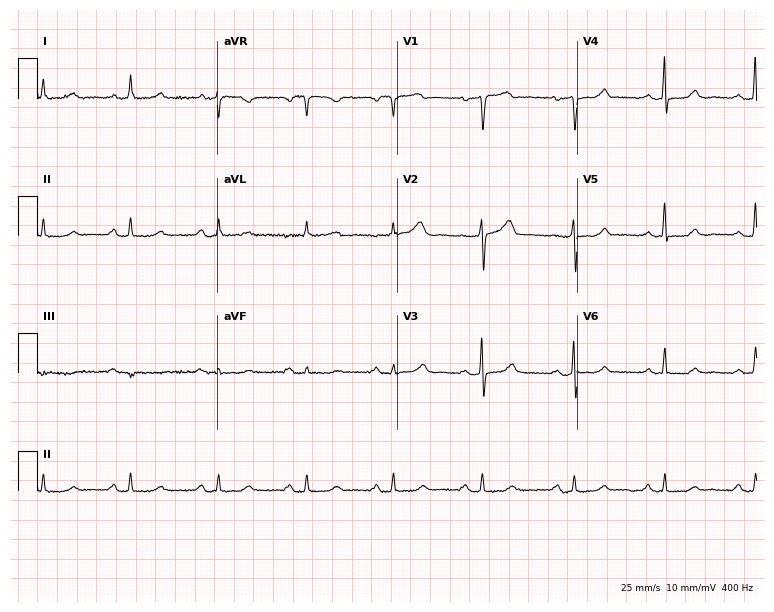
Electrocardiogram (7.3-second recording at 400 Hz), a woman, 59 years old. Overall reading on record: normal ECG.